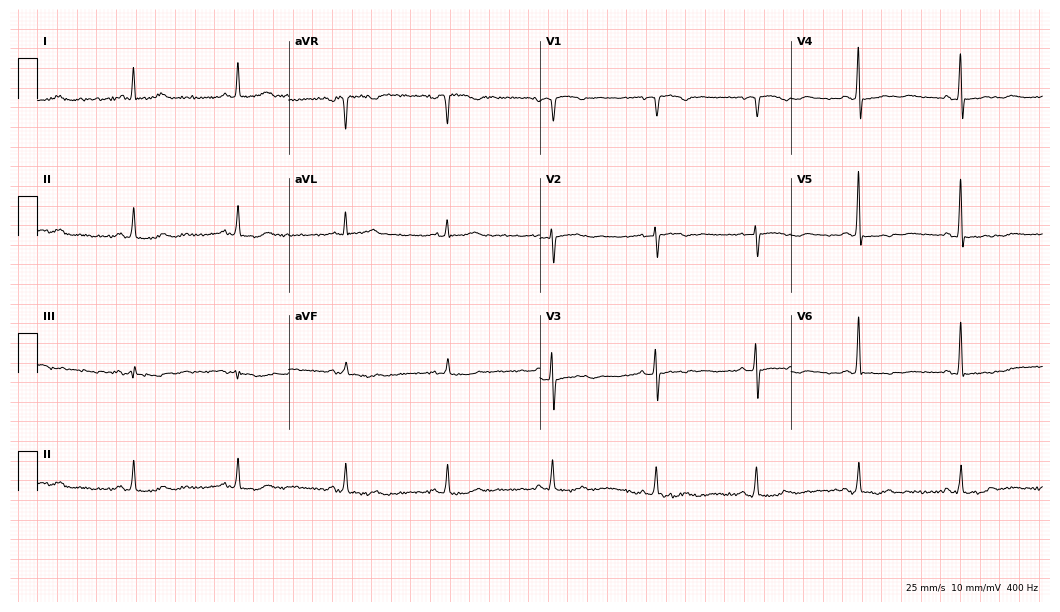
12-lead ECG from a 78-year-old female (10.2-second recording at 400 Hz). Recorded interpretation: within normal limits.